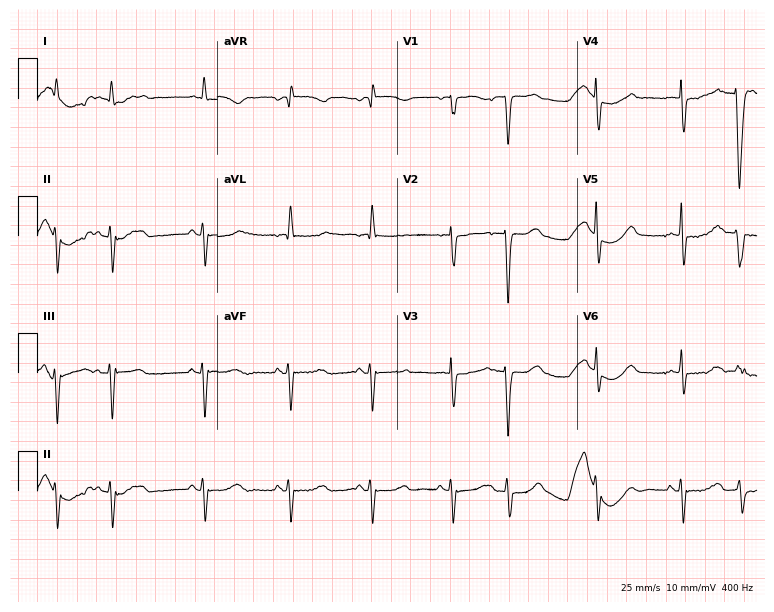
Electrocardiogram (7.3-second recording at 400 Hz), an 85-year-old male. Of the six screened findings (first-degree AV block, right bundle branch block, left bundle branch block, sinus bradycardia, atrial fibrillation, sinus tachycardia), none is recorded.